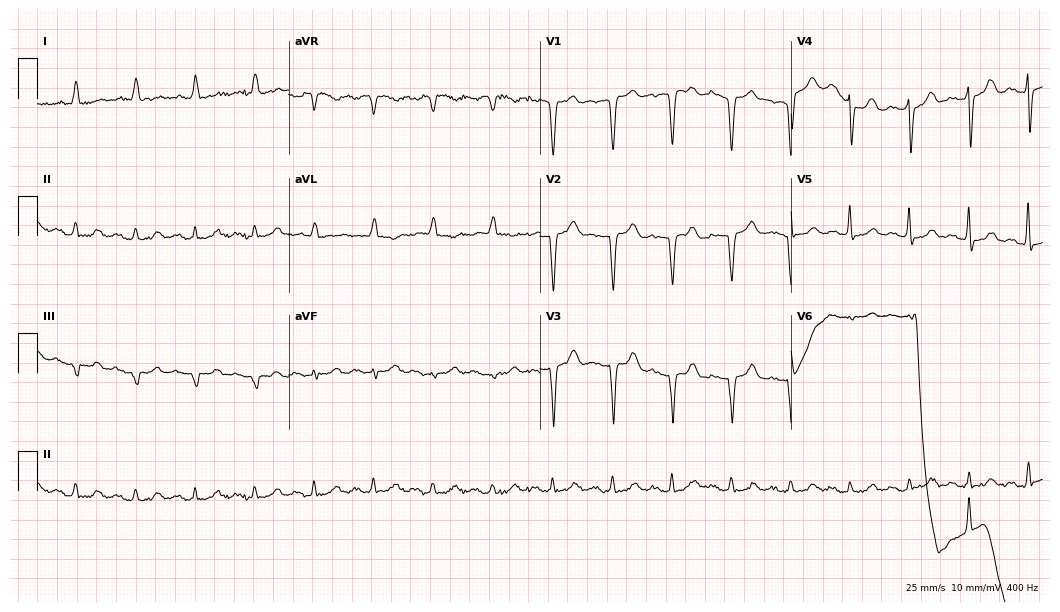
Resting 12-lead electrocardiogram. Patient: a female, 82 years old. None of these six findings is recorded: first-degree AV block, right bundle branch block, left bundle branch block, sinus bradycardia, atrial fibrillation, sinus tachycardia. Findings outside these six are not listed.